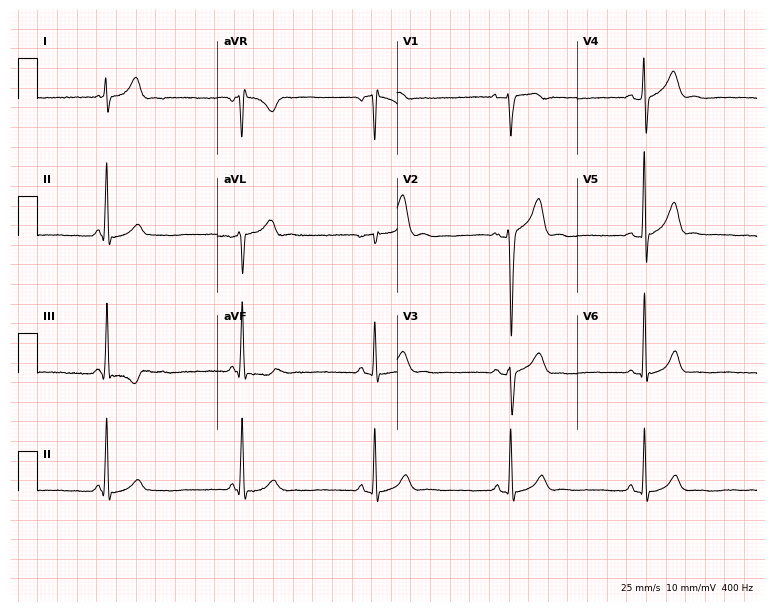
Resting 12-lead electrocardiogram (7.3-second recording at 400 Hz). Patient: a male, 27 years old. The tracing shows sinus bradycardia (a sinus rate of 50 beats per minute or less).